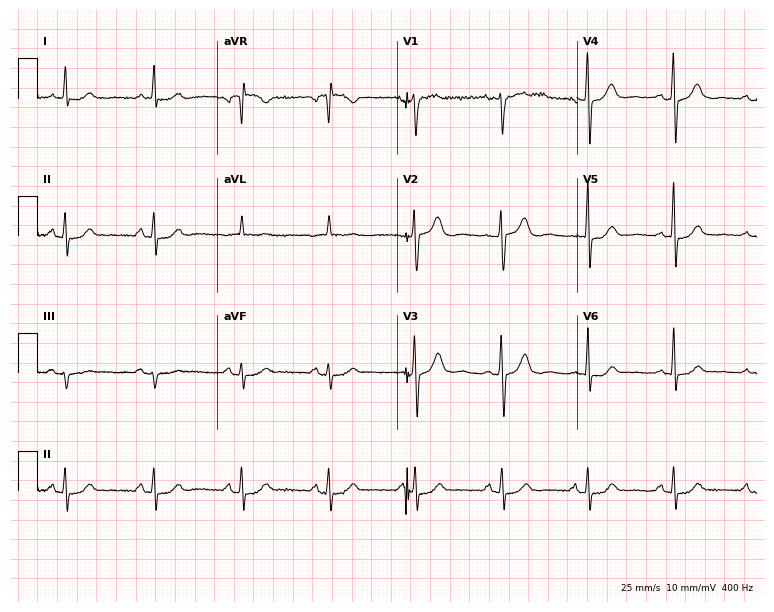
Electrocardiogram (7.3-second recording at 400 Hz), a 69-year-old male patient. Overall reading on record: normal ECG.